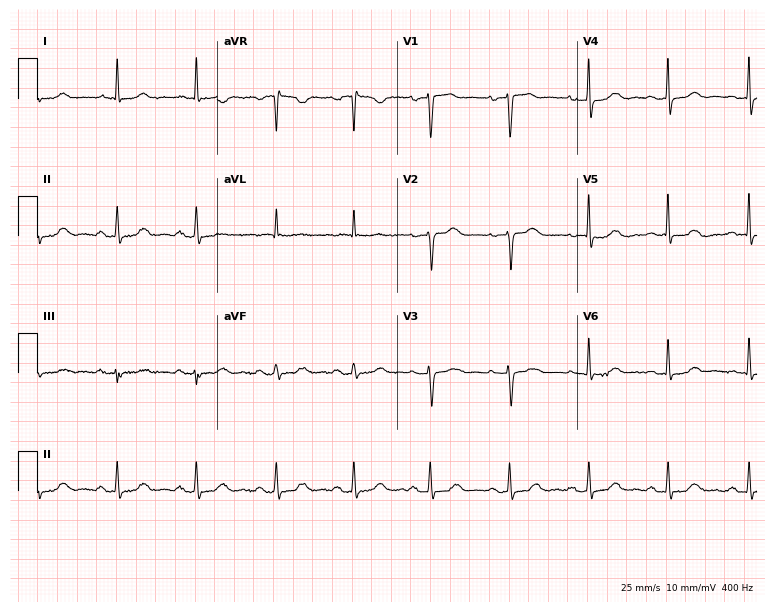
Electrocardiogram, a woman, 69 years old. Overall reading on record: normal ECG.